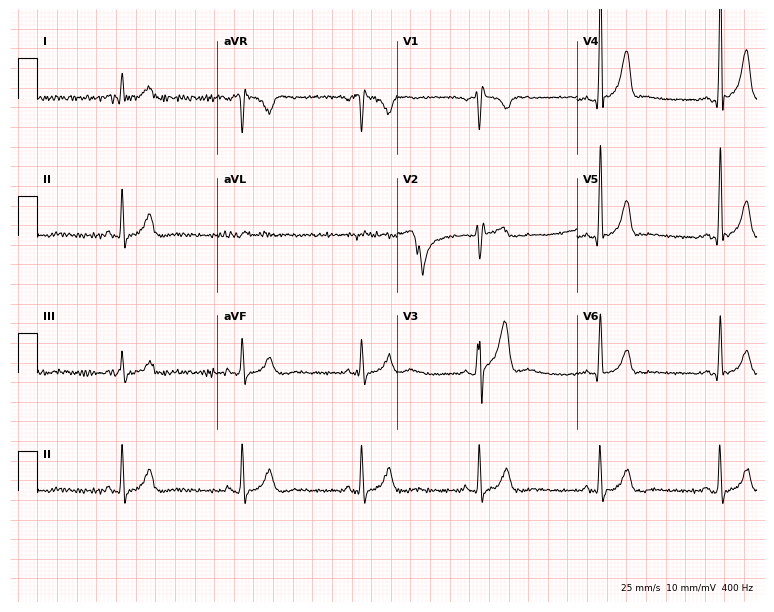
ECG (7.3-second recording at 400 Hz) — a male patient, 41 years old. Findings include sinus bradycardia (a sinus rate of 50 beats per minute or less).